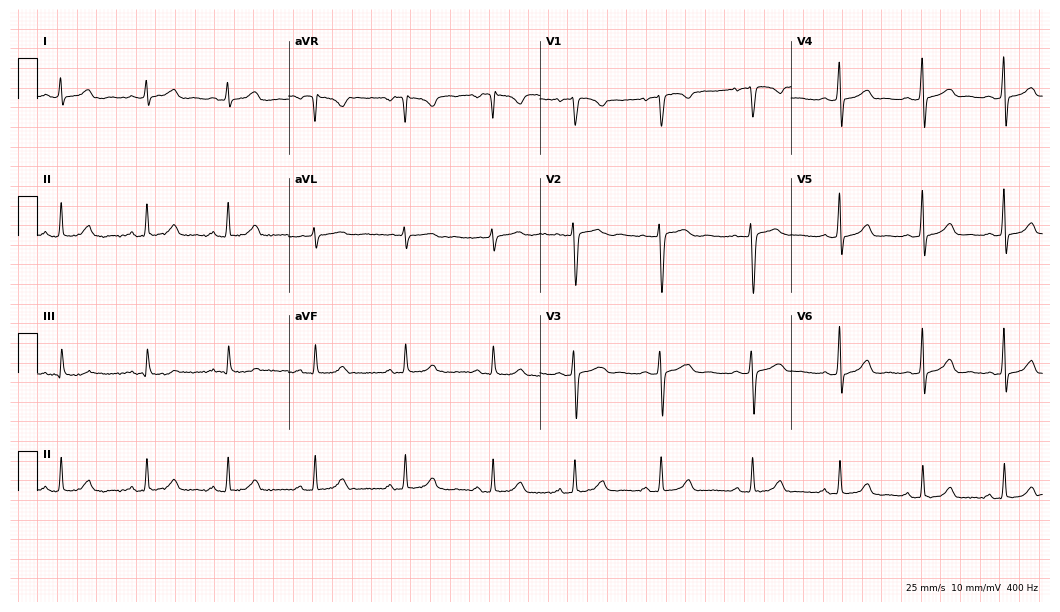
12-lead ECG from a female, 25 years old. Labelled as a normal ECG.